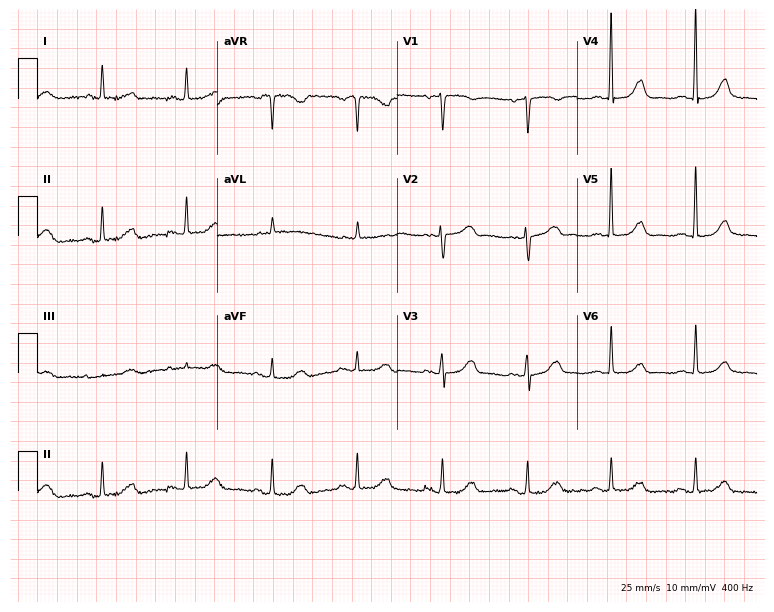
ECG (7.3-second recording at 400 Hz) — a 79-year-old woman. Labelled as a normal ECG.